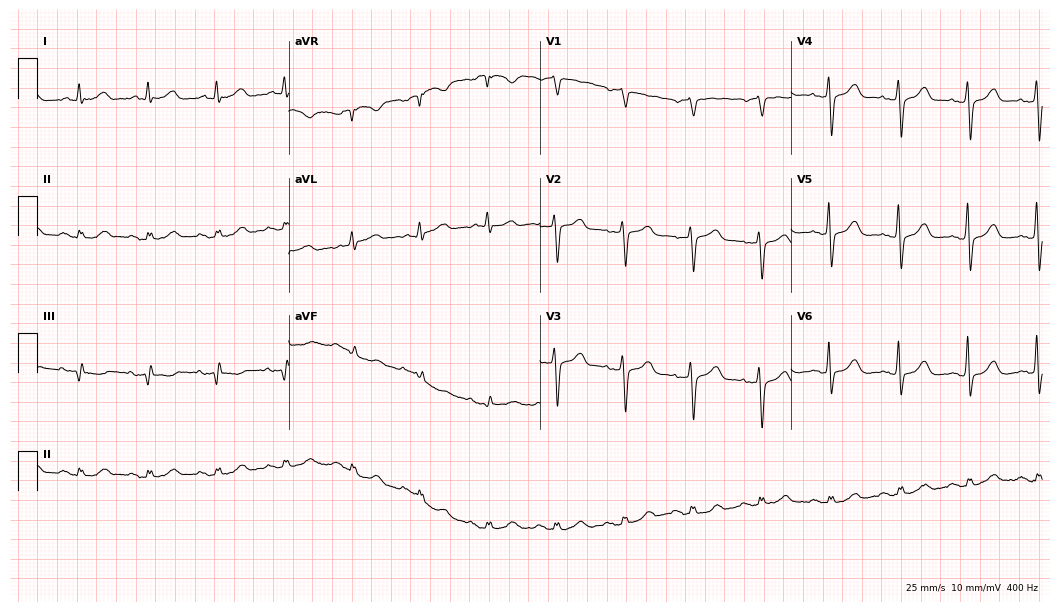
ECG — a female, 75 years old. Labelled as a normal ECG.